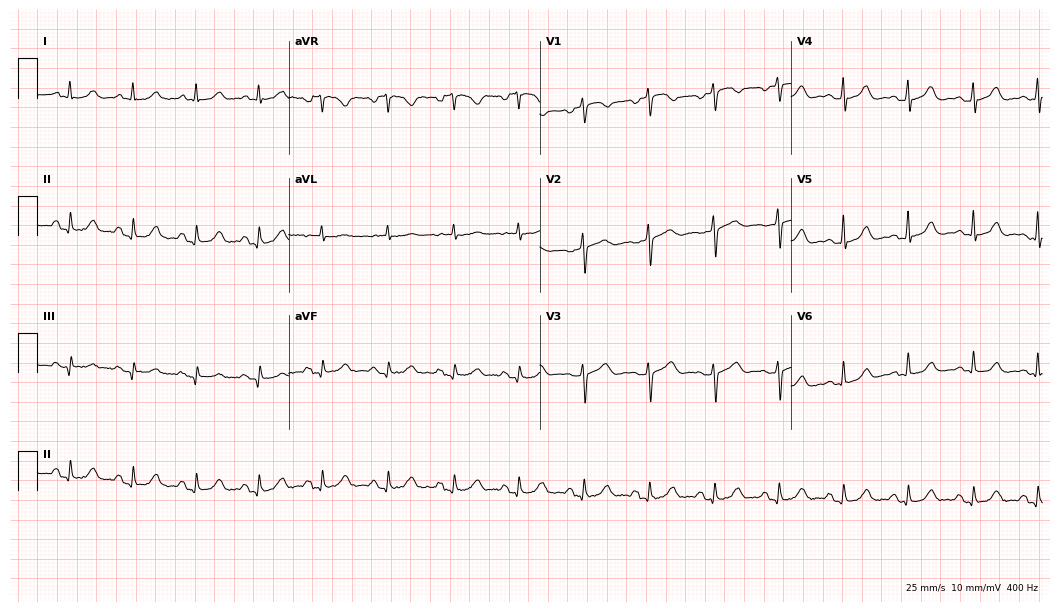
12-lead ECG from a female patient, 65 years old. Screened for six findings — first-degree AV block, right bundle branch block (RBBB), left bundle branch block (LBBB), sinus bradycardia, atrial fibrillation (AF), sinus tachycardia — none is recorded. Findings outside these six are not listed.